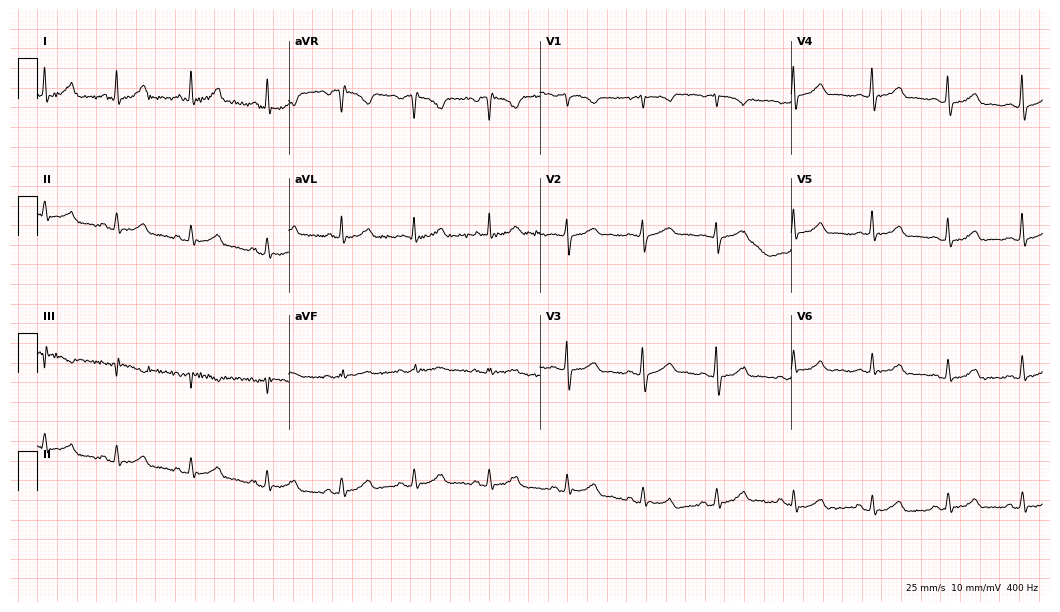
Standard 12-lead ECG recorded from a 78-year-old woman (10.2-second recording at 400 Hz). Read as a normal ECG.